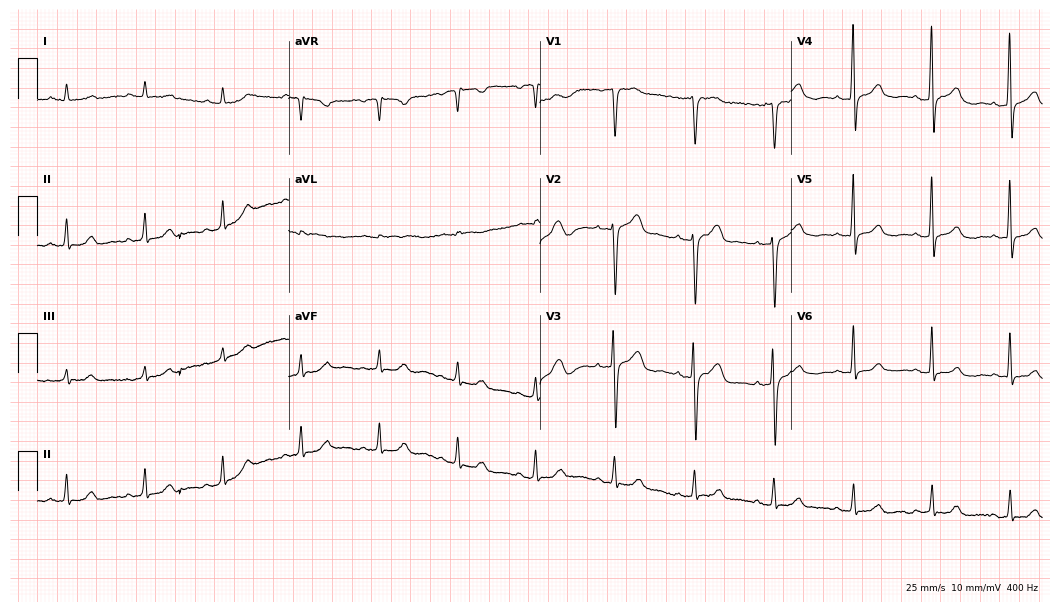
ECG (10.2-second recording at 400 Hz) — a male, 77 years old. Labelled as a normal ECG.